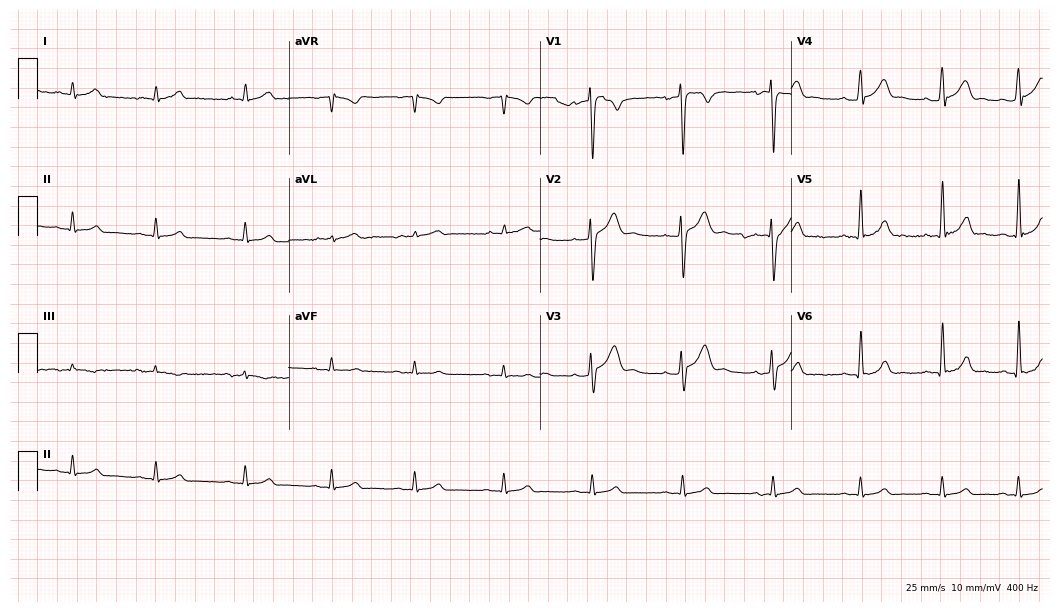
Standard 12-lead ECG recorded from a 29-year-old male (10.2-second recording at 400 Hz). Read as a normal ECG.